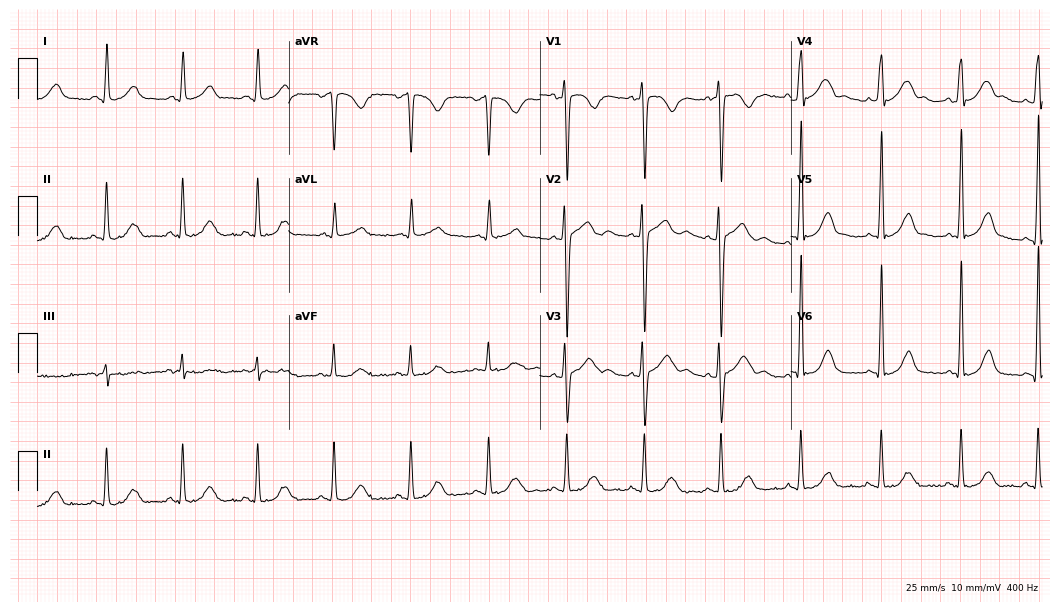
Standard 12-lead ECG recorded from a male patient, 35 years old. None of these six findings is recorded: first-degree AV block, right bundle branch block (RBBB), left bundle branch block (LBBB), sinus bradycardia, atrial fibrillation (AF), sinus tachycardia. Only these six findings were labelled.